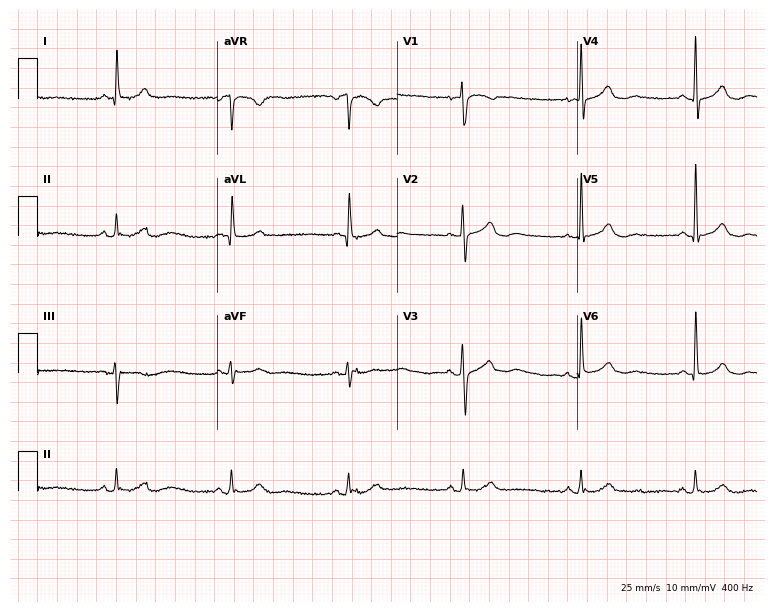
Resting 12-lead electrocardiogram (7.3-second recording at 400 Hz). Patient: a 64-year-old woman. Read as a normal ECG.